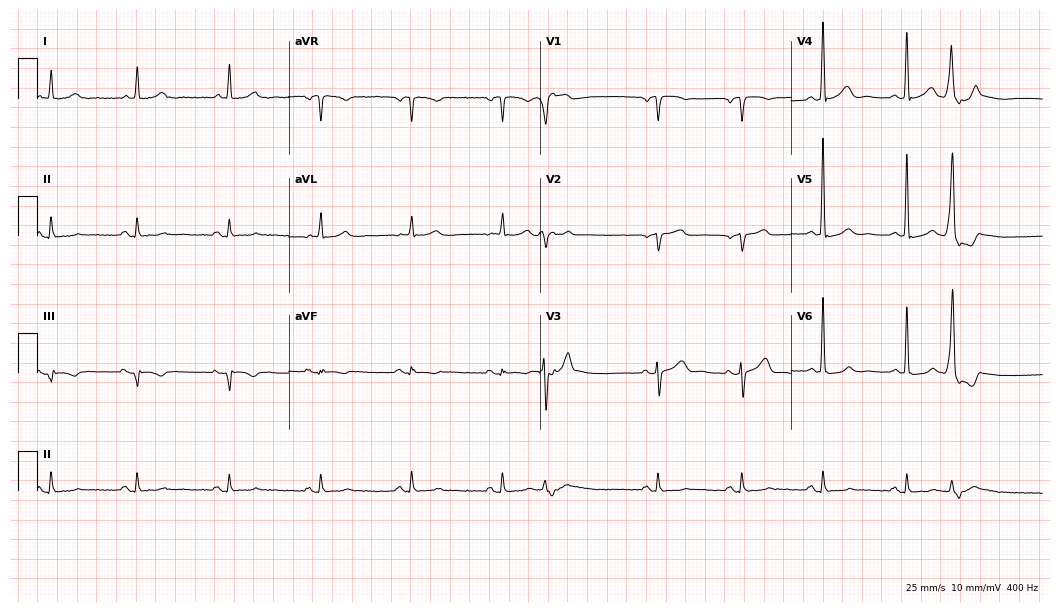
Standard 12-lead ECG recorded from a man, 73 years old (10.2-second recording at 400 Hz). None of these six findings is recorded: first-degree AV block, right bundle branch block, left bundle branch block, sinus bradycardia, atrial fibrillation, sinus tachycardia. Other findings, if any, are not listed.